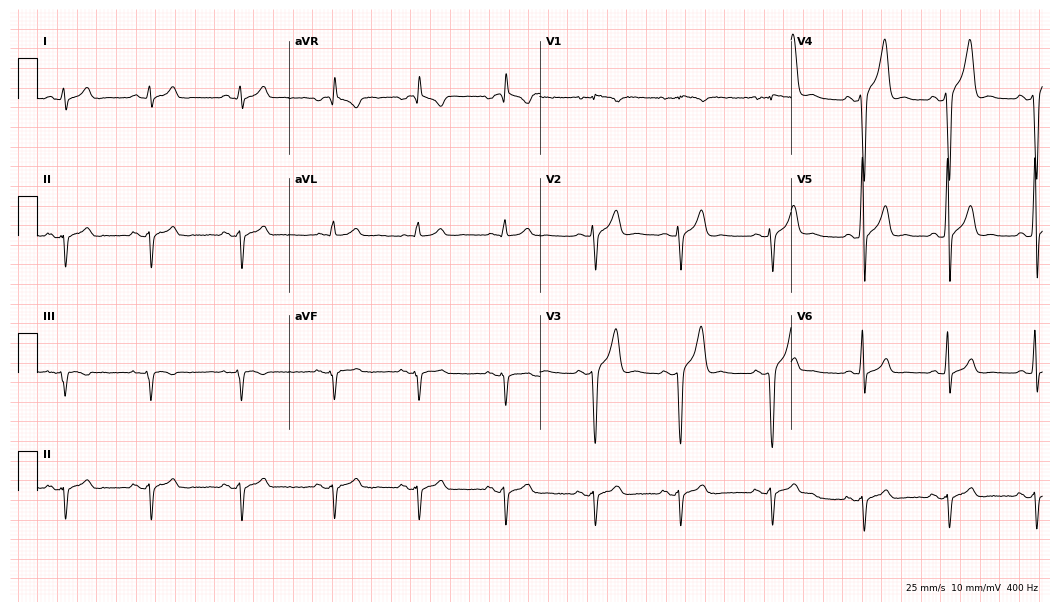
12-lead ECG from a 23-year-old male patient (10.2-second recording at 400 Hz). No first-degree AV block, right bundle branch block (RBBB), left bundle branch block (LBBB), sinus bradycardia, atrial fibrillation (AF) or sinus tachycardia recorded for this tracing. Findings outside these six are not listed.